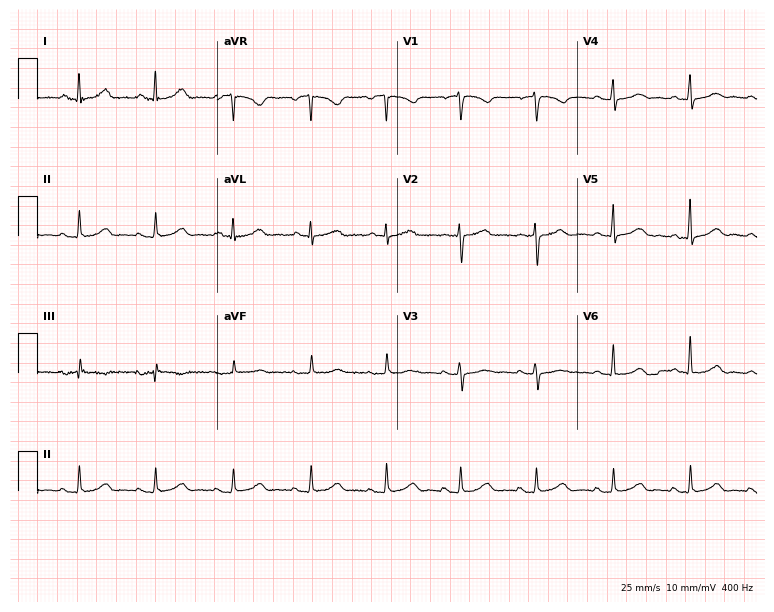
Resting 12-lead electrocardiogram (7.3-second recording at 400 Hz). Patient: a female, 57 years old. Read as a normal ECG.